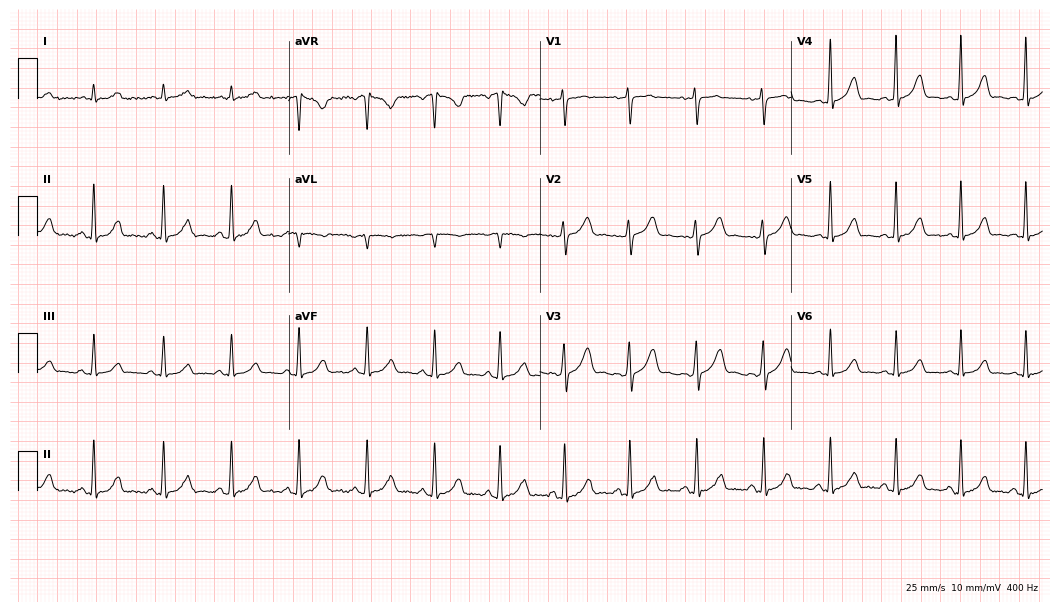
12-lead ECG from a 33-year-old female patient (10.2-second recording at 400 Hz). Recorded interpretation: within normal limits.